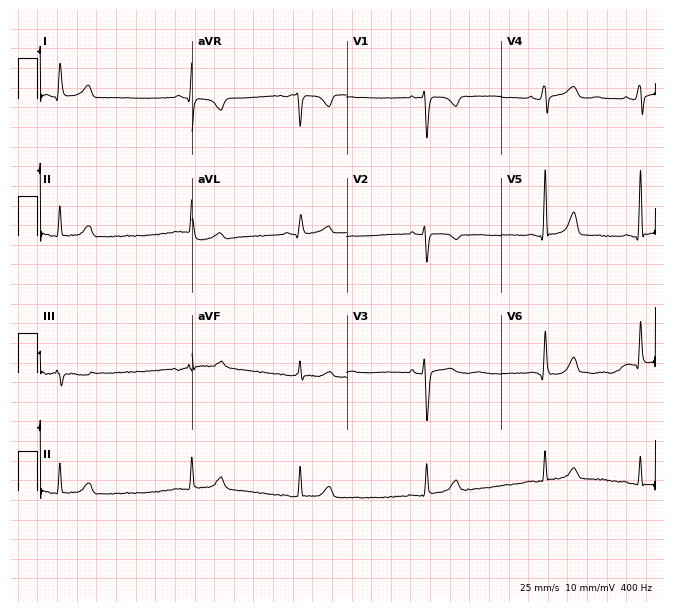
12-lead ECG from a woman, 34 years old. Shows sinus bradycardia (a sinus rate of 50 beats per minute or less).